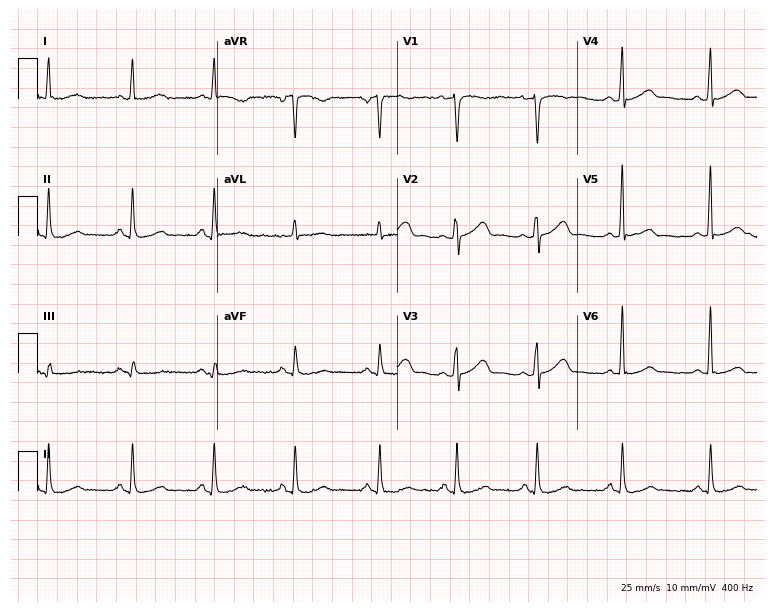
12-lead ECG from a female patient, 46 years old. No first-degree AV block, right bundle branch block (RBBB), left bundle branch block (LBBB), sinus bradycardia, atrial fibrillation (AF) or sinus tachycardia recorded for this tracing.